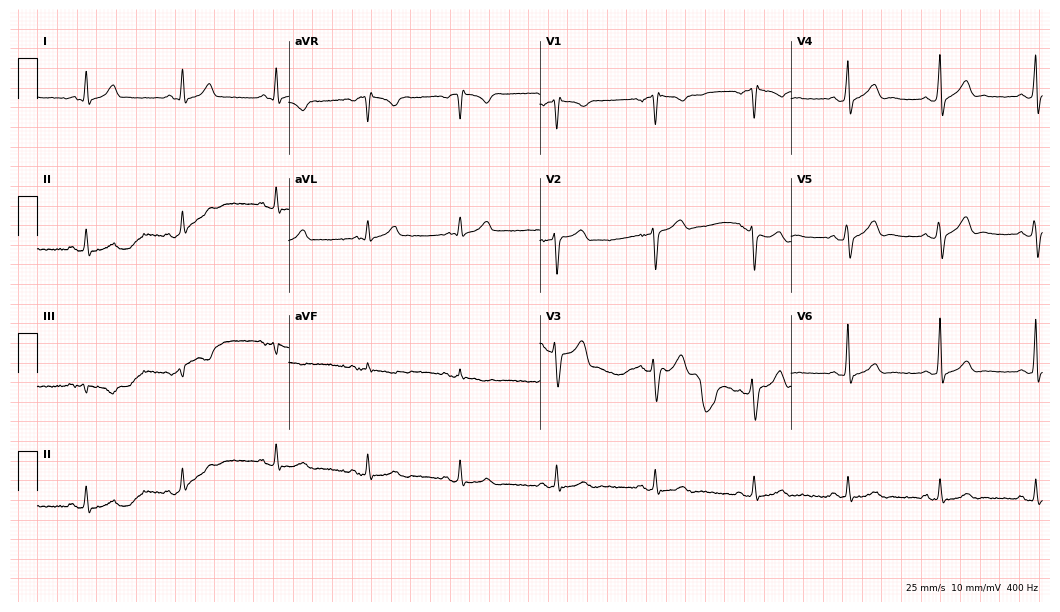
12-lead ECG (10.2-second recording at 400 Hz) from a 53-year-old male patient. Labelled as a normal ECG.